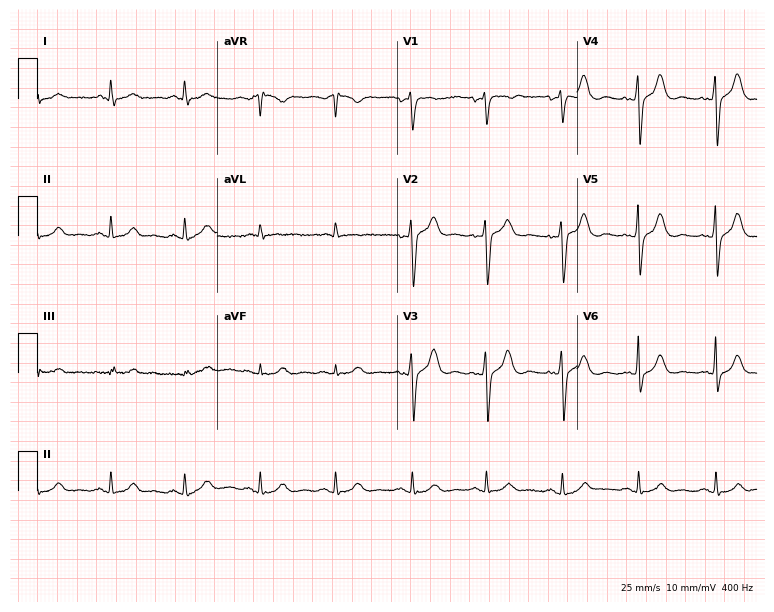
12-lead ECG from a 50-year-old woman (7.3-second recording at 400 Hz). No first-degree AV block, right bundle branch block, left bundle branch block, sinus bradycardia, atrial fibrillation or sinus tachycardia recorded for this tracing.